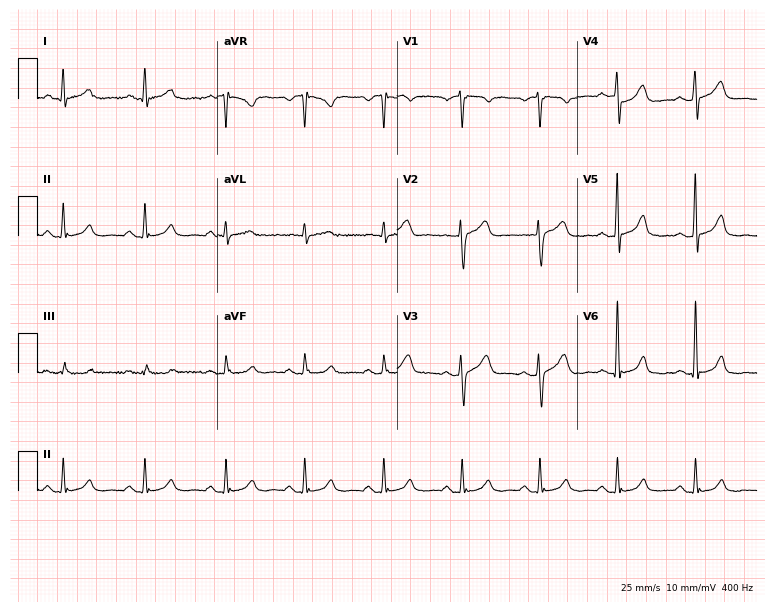
ECG — a 50-year-old man. Labelled as a normal ECG.